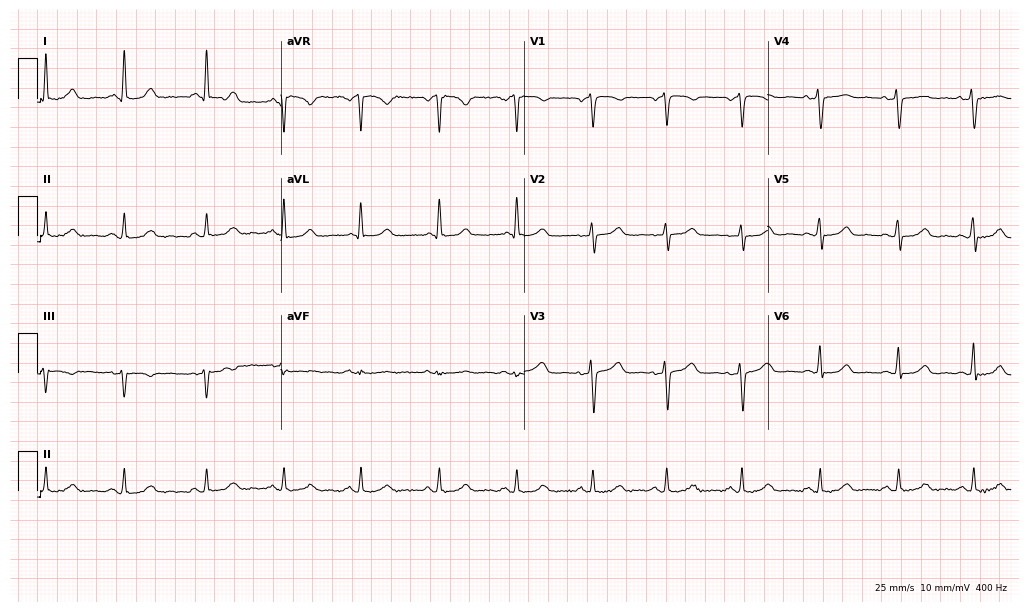
Electrocardiogram, a 54-year-old female patient. Of the six screened findings (first-degree AV block, right bundle branch block (RBBB), left bundle branch block (LBBB), sinus bradycardia, atrial fibrillation (AF), sinus tachycardia), none is recorded. Only these six findings were labelled.